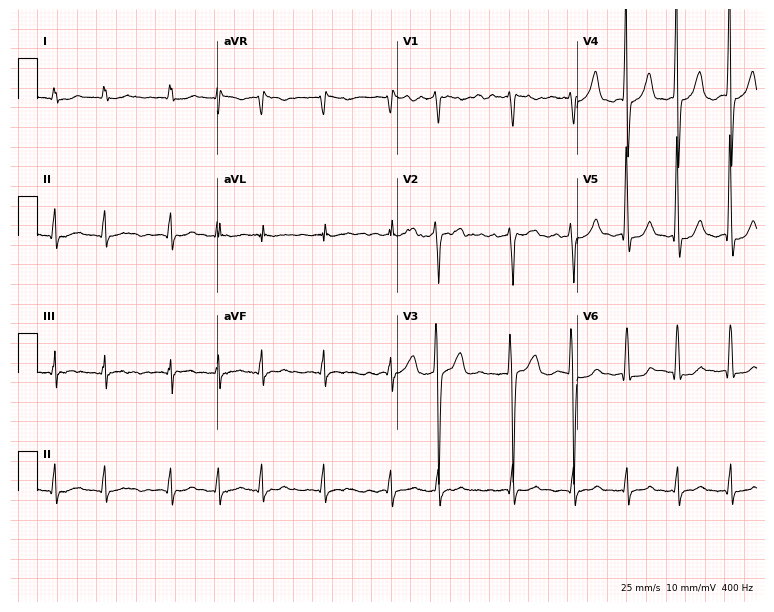
ECG — a 76-year-old man. Findings include atrial fibrillation.